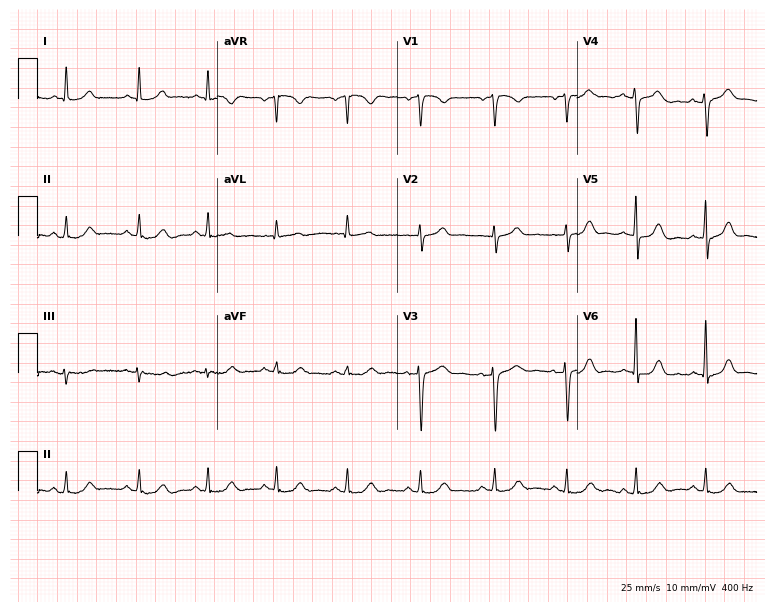
Resting 12-lead electrocardiogram. Patient: a 55-year-old female. Read as a normal ECG.